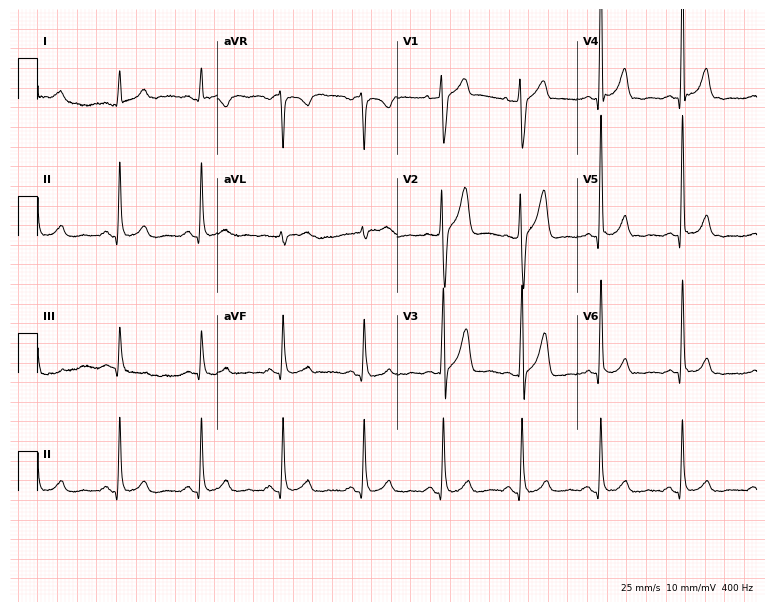
Resting 12-lead electrocardiogram. Patient: a 38-year-old male. None of these six findings is recorded: first-degree AV block, right bundle branch block, left bundle branch block, sinus bradycardia, atrial fibrillation, sinus tachycardia.